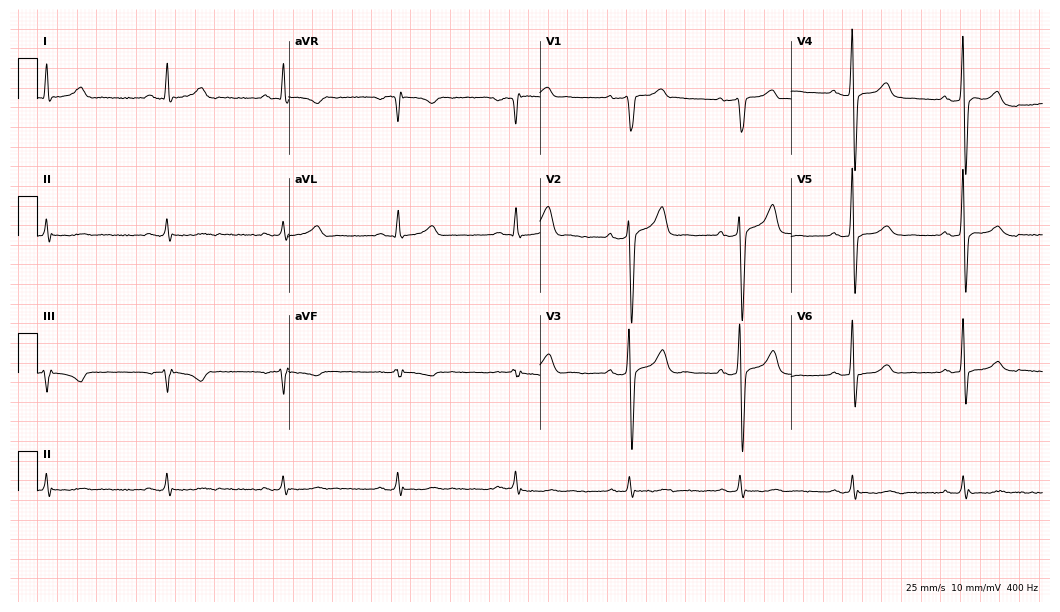
ECG — a 61-year-old male. Screened for six findings — first-degree AV block, right bundle branch block (RBBB), left bundle branch block (LBBB), sinus bradycardia, atrial fibrillation (AF), sinus tachycardia — none is recorded. Findings outside these six are not listed.